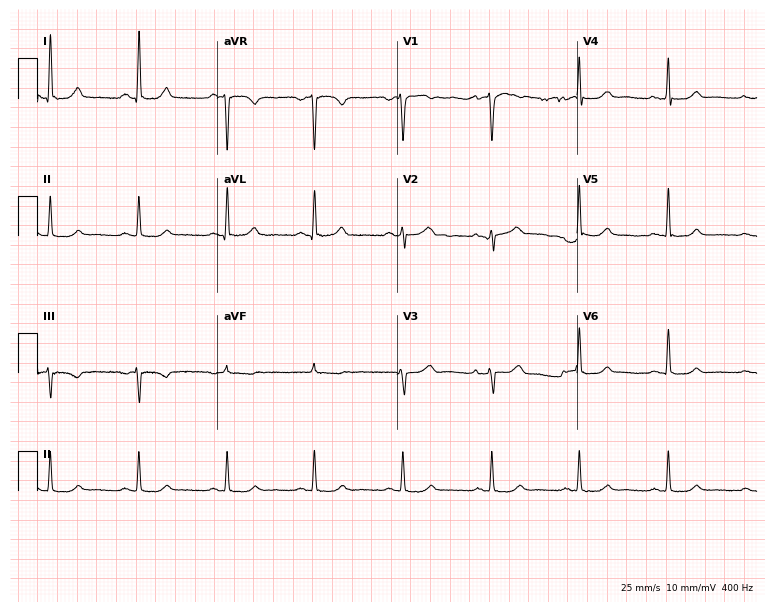
12-lead ECG (7.3-second recording at 400 Hz) from a woman, 51 years old. Labelled as a normal ECG.